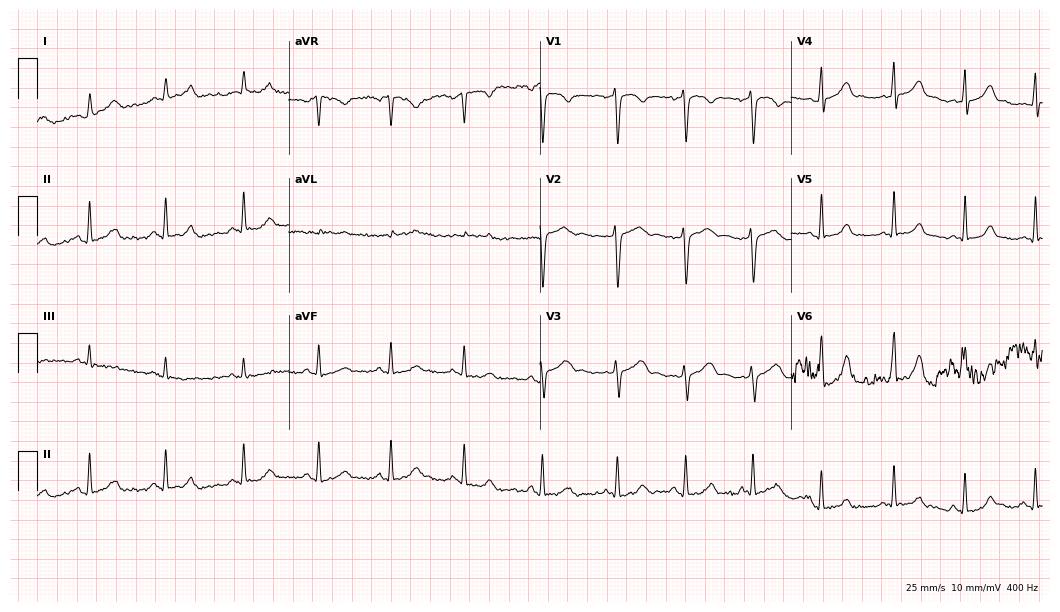
ECG (10.2-second recording at 400 Hz) — a 31-year-old female. Screened for six findings — first-degree AV block, right bundle branch block (RBBB), left bundle branch block (LBBB), sinus bradycardia, atrial fibrillation (AF), sinus tachycardia — none is recorded. Findings outside these six are not listed.